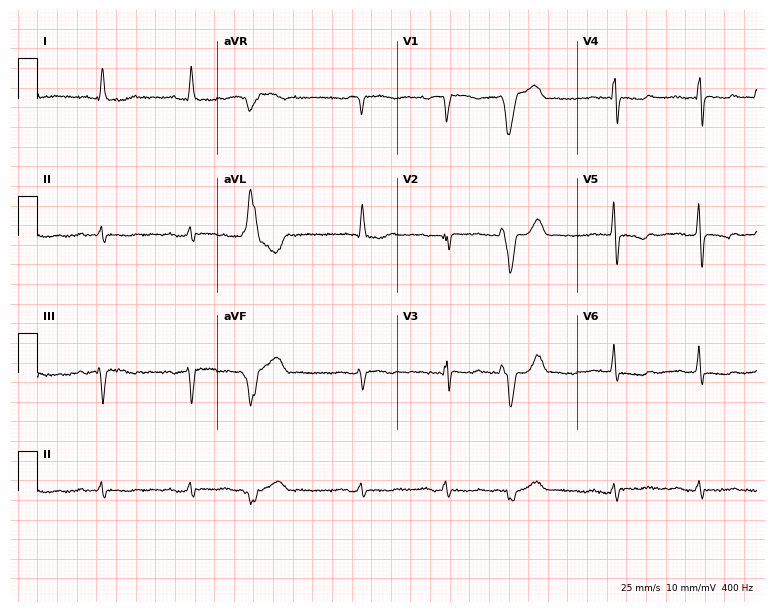
Electrocardiogram, a female, 77 years old. Overall reading on record: normal ECG.